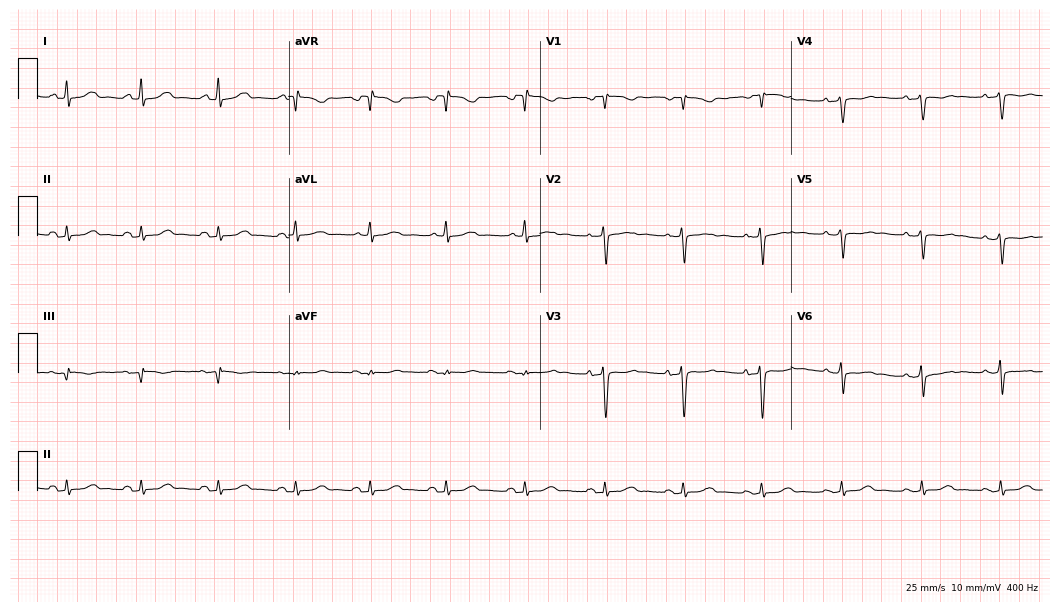
Standard 12-lead ECG recorded from a woman, 44 years old. None of these six findings is recorded: first-degree AV block, right bundle branch block (RBBB), left bundle branch block (LBBB), sinus bradycardia, atrial fibrillation (AF), sinus tachycardia.